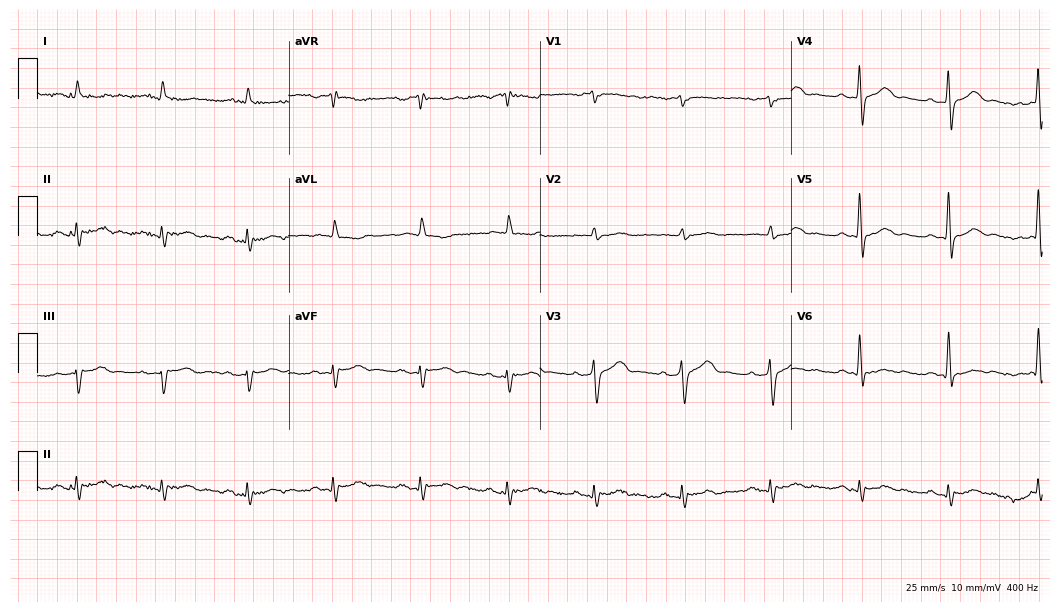
Standard 12-lead ECG recorded from a male, 74 years old. None of these six findings is recorded: first-degree AV block, right bundle branch block (RBBB), left bundle branch block (LBBB), sinus bradycardia, atrial fibrillation (AF), sinus tachycardia.